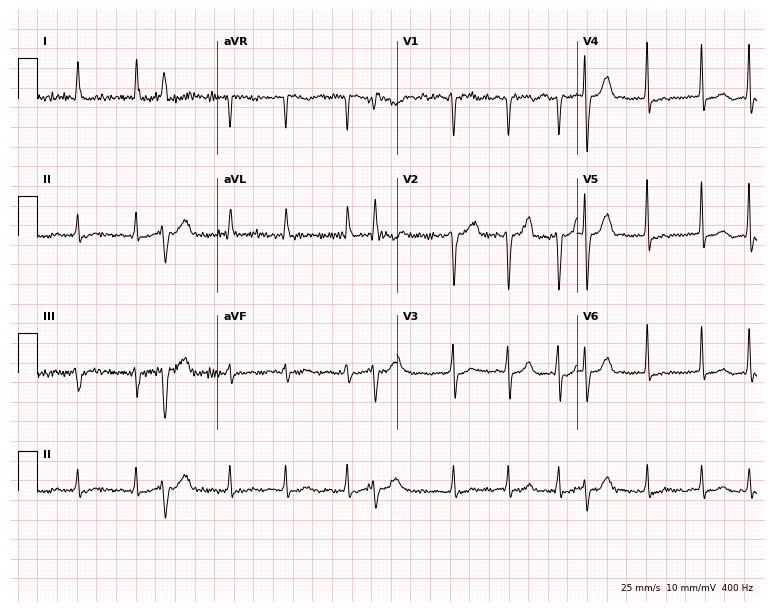
12-lead ECG (7.3-second recording at 400 Hz) from a male, 72 years old. Screened for six findings — first-degree AV block, right bundle branch block, left bundle branch block, sinus bradycardia, atrial fibrillation, sinus tachycardia — none is recorded. Only these six findings were labelled.